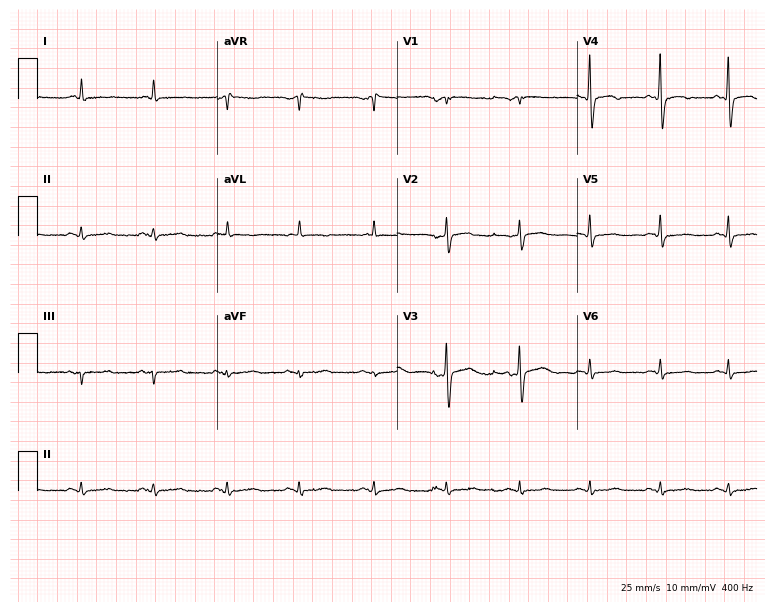
12-lead ECG from an 80-year-old female. Screened for six findings — first-degree AV block, right bundle branch block, left bundle branch block, sinus bradycardia, atrial fibrillation, sinus tachycardia — none is recorded. Only these six findings were labelled.